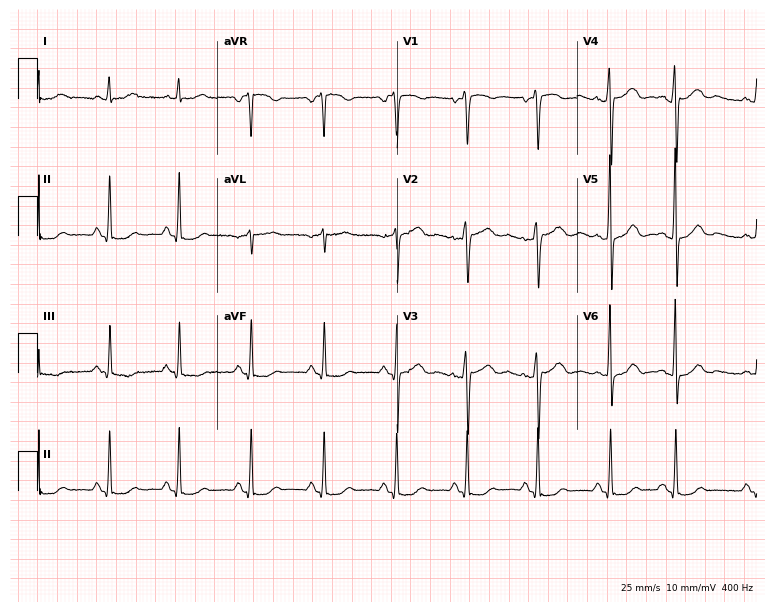
12-lead ECG from a man, 57 years old. No first-degree AV block, right bundle branch block, left bundle branch block, sinus bradycardia, atrial fibrillation or sinus tachycardia recorded for this tracing. Other findings, if any, are not listed.